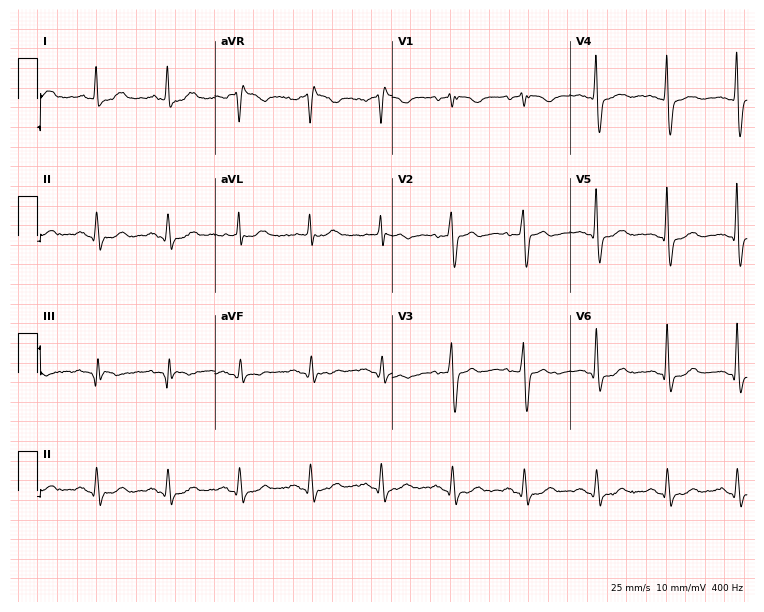
ECG — a 79-year-old male patient. Screened for six findings — first-degree AV block, right bundle branch block, left bundle branch block, sinus bradycardia, atrial fibrillation, sinus tachycardia — none is recorded. Findings outside these six are not listed.